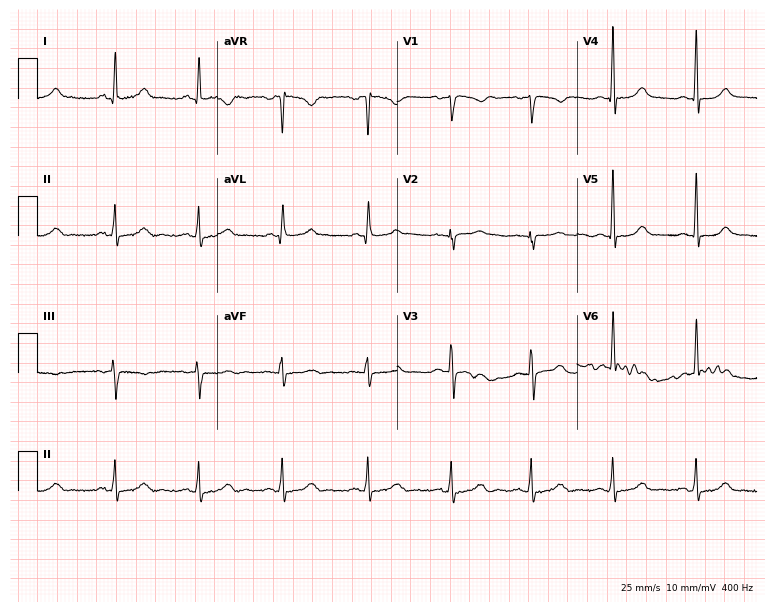
Resting 12-lead electrocardiogram. Patient: a 39-year-old woman. Read as a normal ECG.